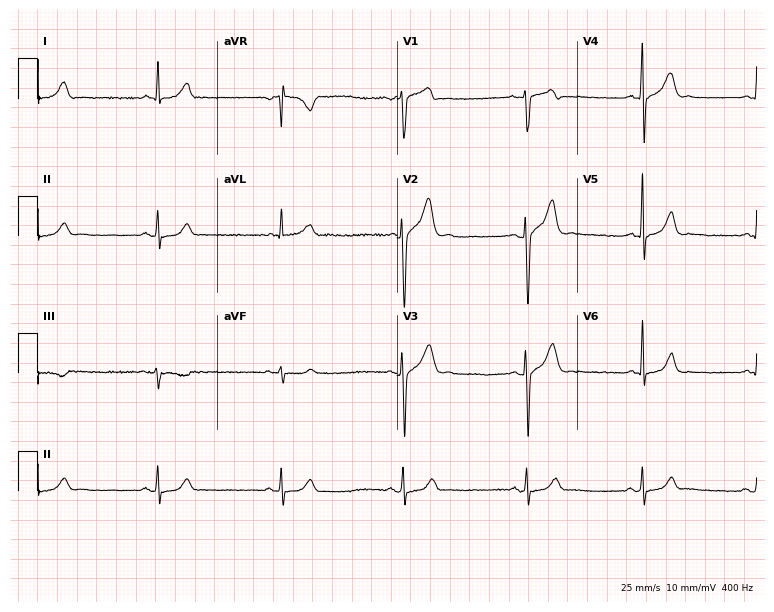
Electrocardiogram (7.3-second recording at 400 Hz), a 36-year-old male patient. Interpretation includes sinus bradycardia (a sinus rate of 50 beats per minute or less).